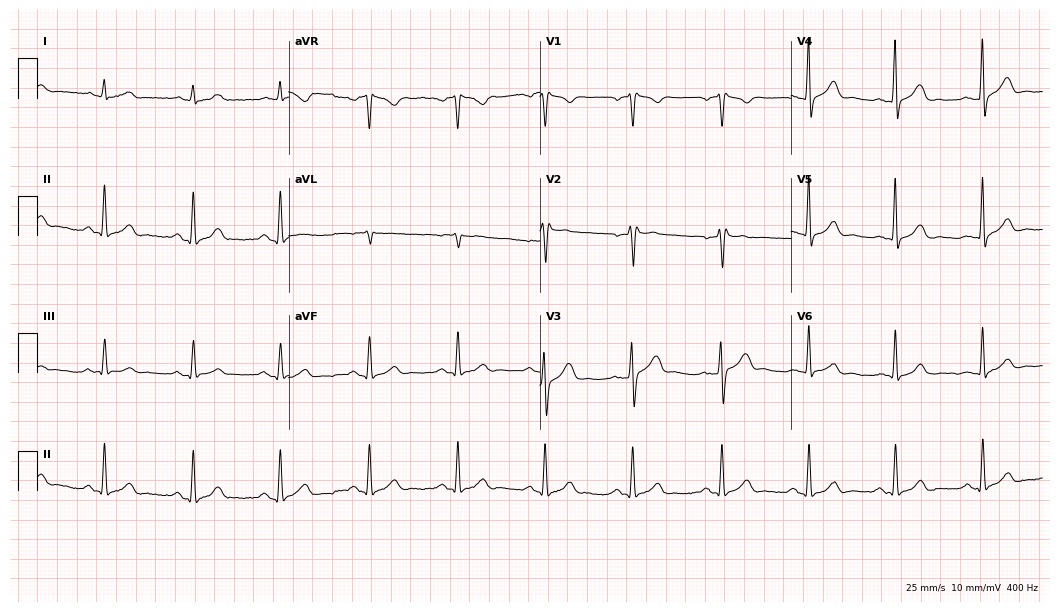
12-lead ECG from a 69-year-old male patient. Labelled as a normal ECG.